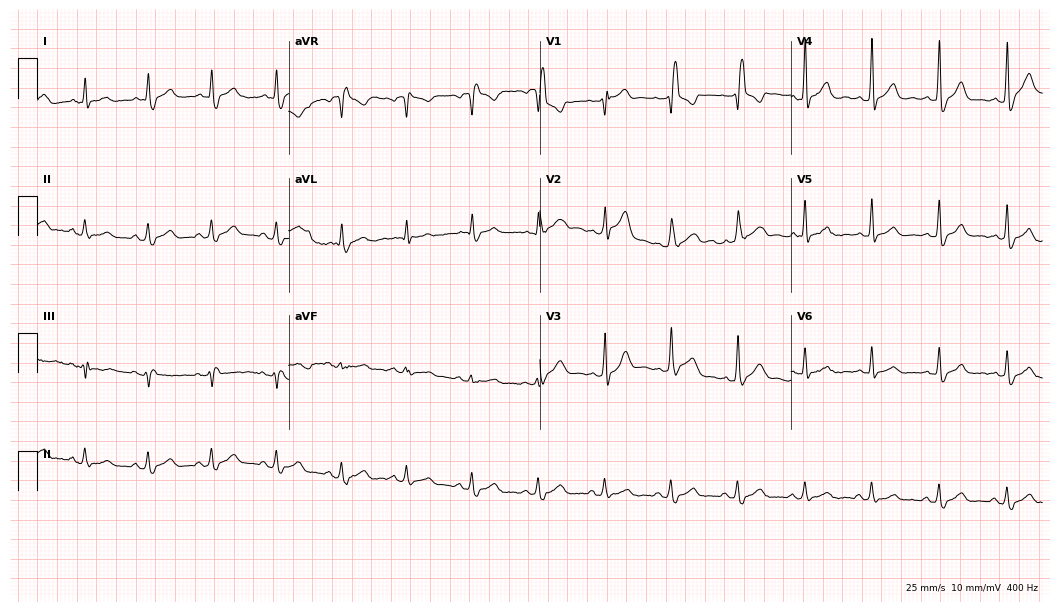
Electrocardiogram, a 79-year-old man. Of the six screened findings (first-degree AV block, right bundle branch block, left bundle branch block, sinus bradycardia, atrial fibrillation, sinus tachycardia), none is recorded.